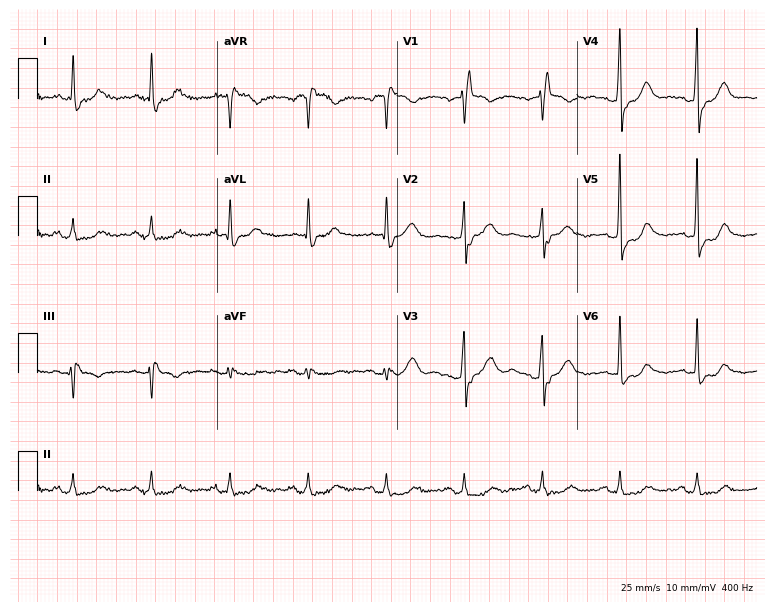
12-lead ECG (7.3-second recording at 400 Hz) from a 77-year-old male patient. Findings include right bundle branch block (RBBB).